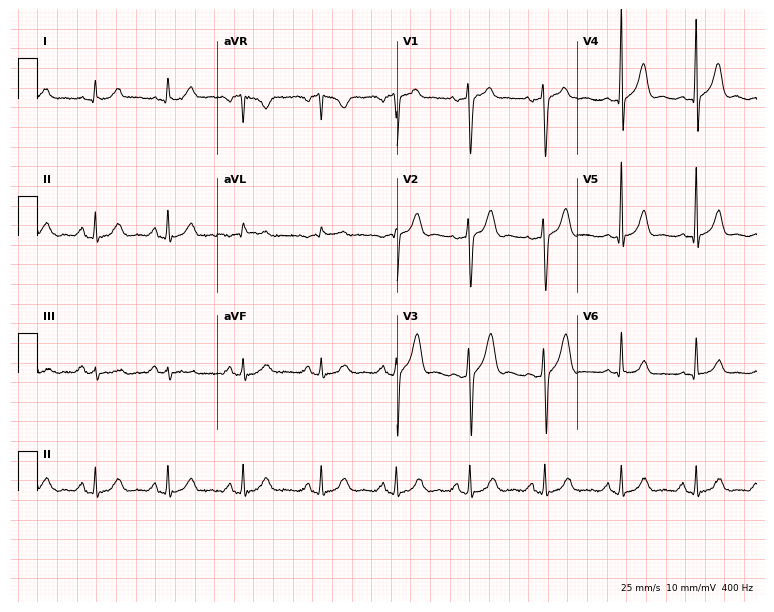
Standard 12-lead ECG recorded from a 34-year-old male (7.3-second recording at 400 Hz). None of these six findings is recorded: first-degree AV block, right bundle branch block, left bundle branch block, sinus bradycardia, atrial fibrillation, sinus tachycardia. Only these six findings were labelled.